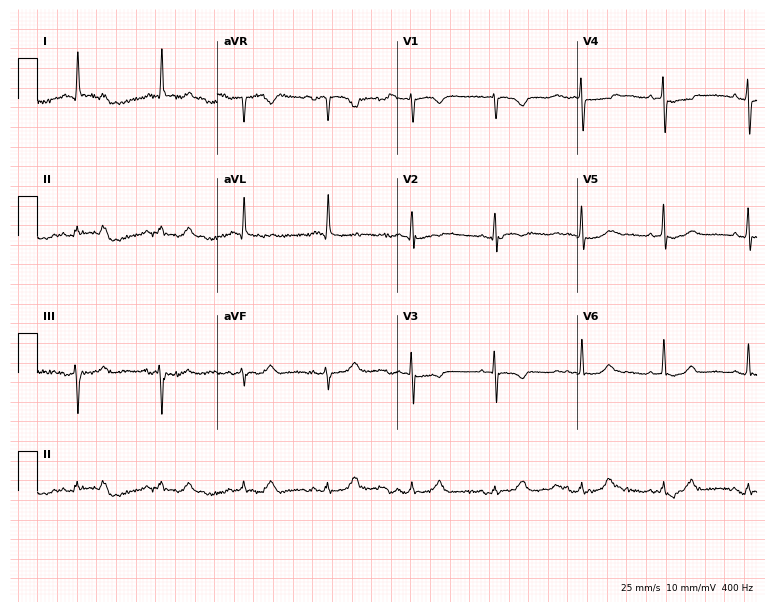
12-lead ECG from an 81-year-old female (7.3-second recording at 400 Hz). No first-degree AV block, right bundle branch block, left bundle branch block, sinus bradycardia, atrial fibrillation or sinus tachycardia recorded for this tracing.